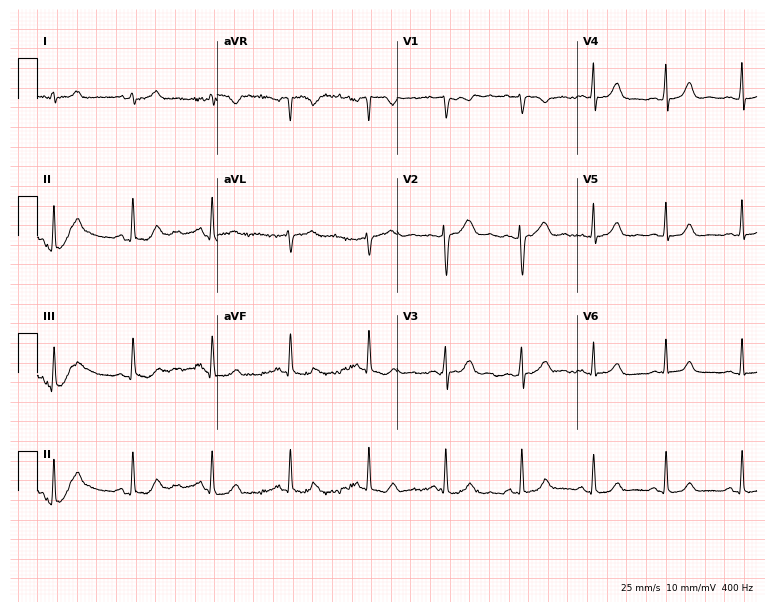
12-lead ECG from a female patient, 41 years old. Recorded interpretation: within normal limits.